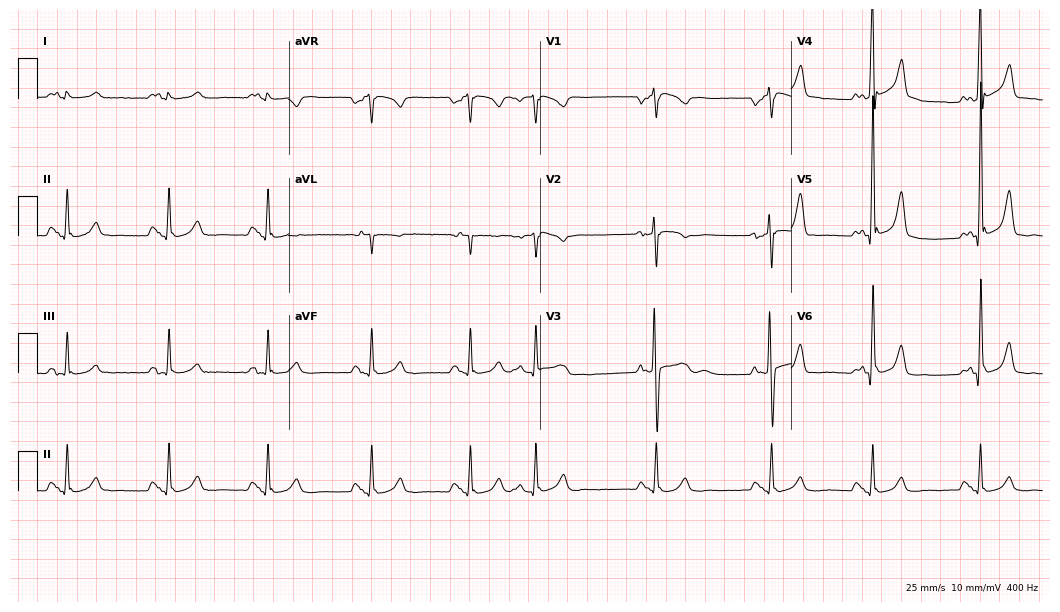
Electrocardiogram (10.2-second recording at 400 Hz), a male, 40 years old. Of the six screened findings (first-degree AV block, right bundle branch block, left bundle branch block, sinus bradycardia, atrial fibrillation, sinus tachycardia), none is recorded.